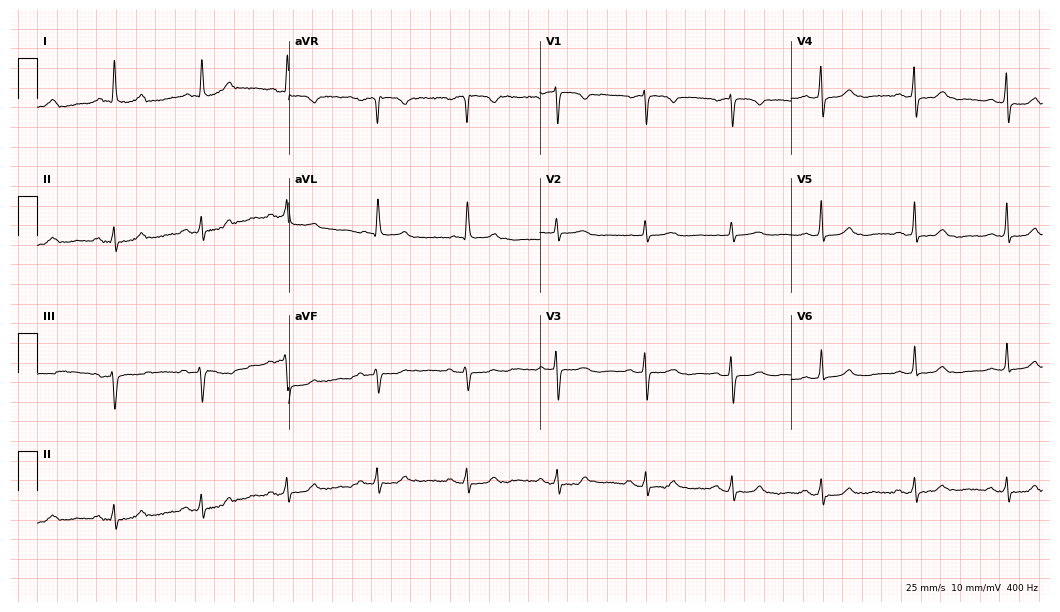
12-lead ECG from an 81-year-old woman. Labelled as a normal ECG.